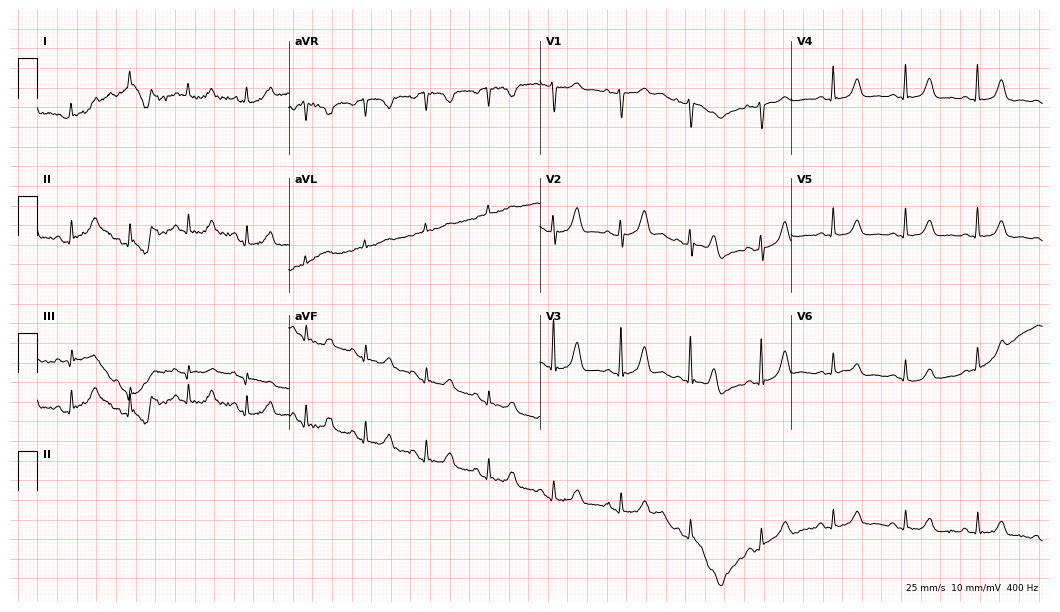
12-lead ECG from a 64-year-old female patient. Labelled as a normal ECG.